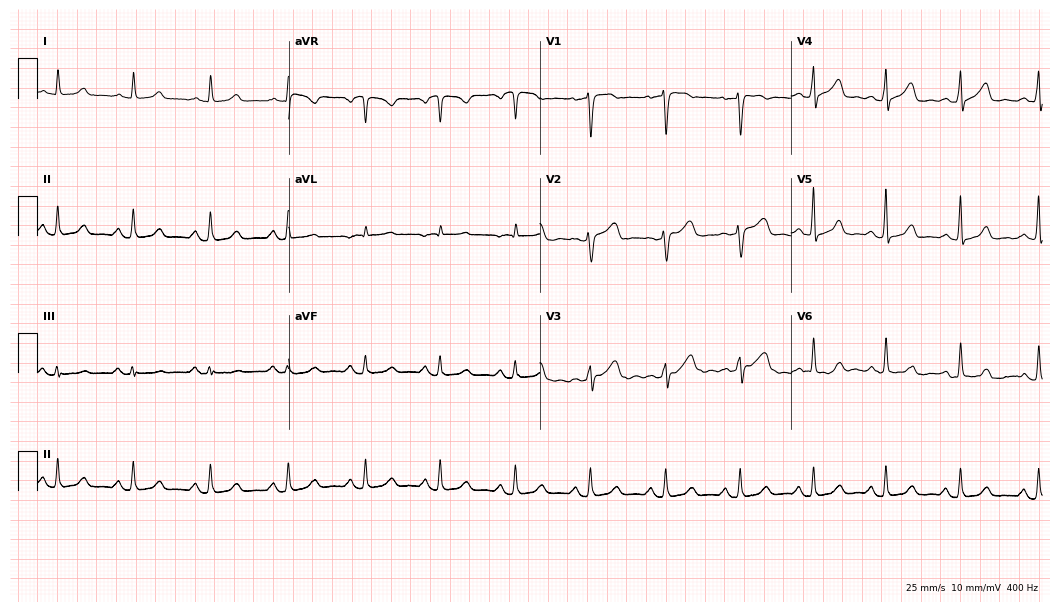
Standard 12-lead ECG recorded from a woman, 63 years old. Read as a normal ECG.